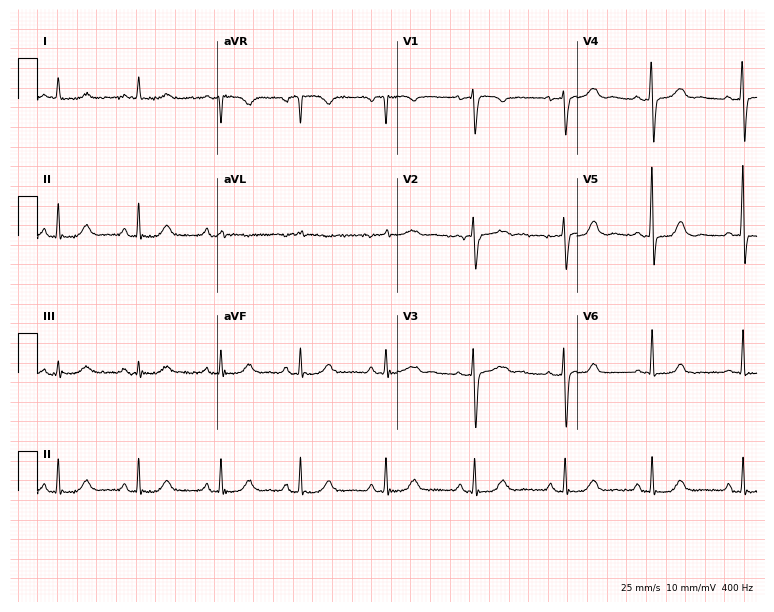
ECG — a 67-year-old female patient. Labelled as a normal ECG.